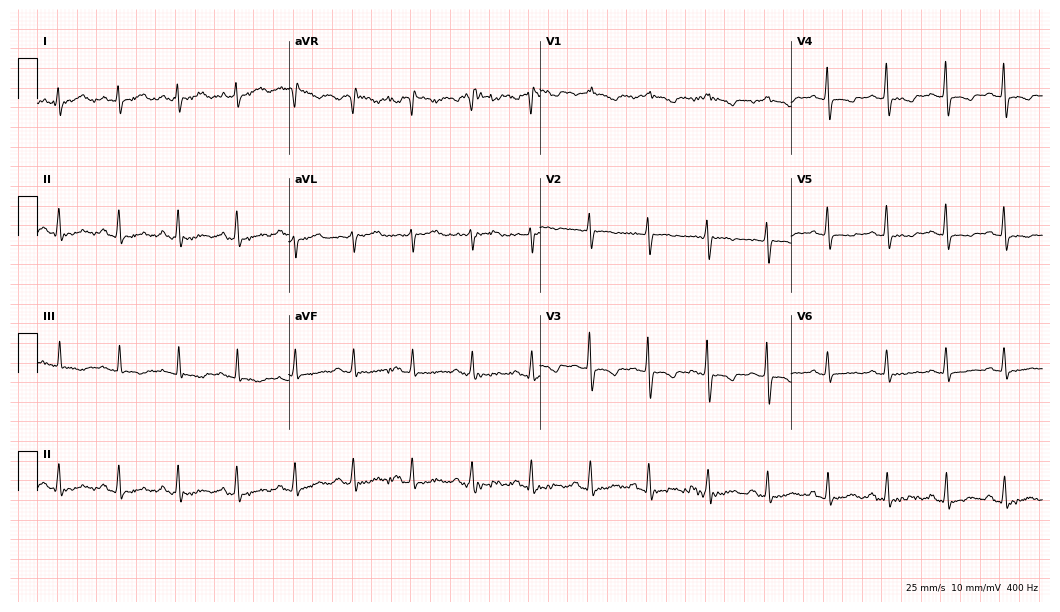
Electrocardiogram (10.2-second recording at 400 Hz), a 70-year-old female patient. Of the six screened findings (first-degree AV block, right bundle branch block (RBBB), left bundle branch block (LBBB), sinus bradycardia, atrial fibrillation (AF), sinus tachycardia), none is recorded. Findings outside these six are not listed.